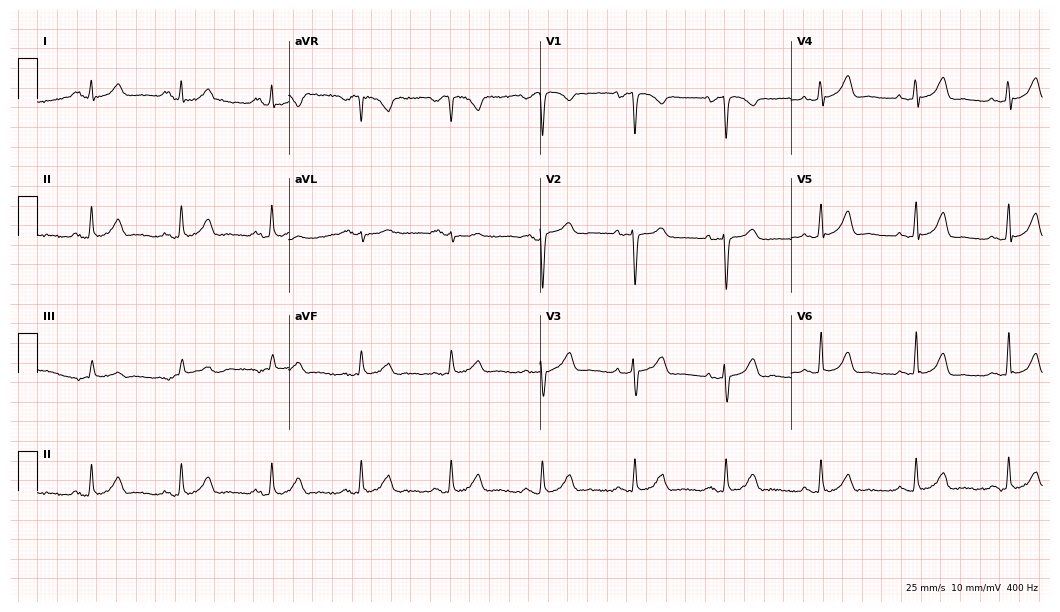
Standard 12-lead ECG recorded from a woman, 36 years old (10.2-second recording at 400 Hz). None of these six findings is recorded: first-degree AV block, right bundle branch block, left bundle branch block, sinus bradycardia, atrial fibrillation, sinus tachycardia.